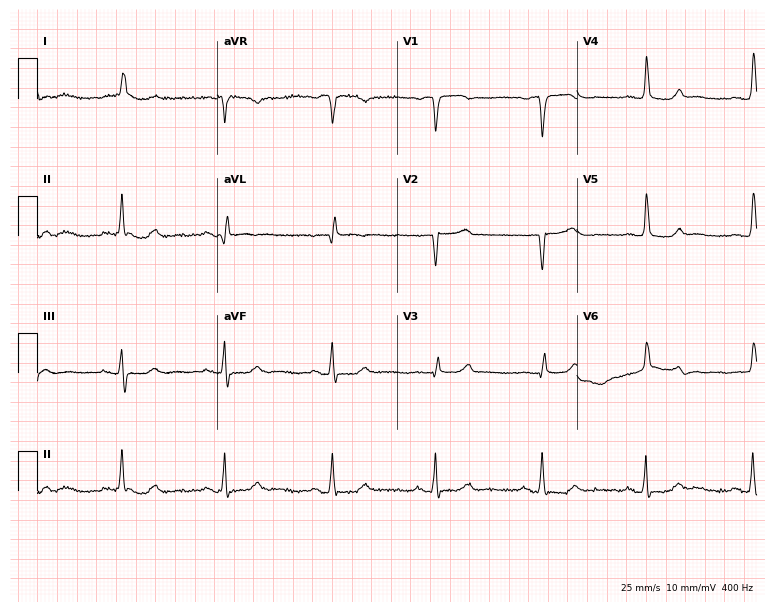
Resting 12-lead electrocardiogram. Patient: a 79-year-old female. None of these six findings is recorded: first-degree AV block, right bundle branch block, left bundle branch block, sinus bradycardia, atrial fibrillation, sinus tachycardia. Only these six findings were labelled.